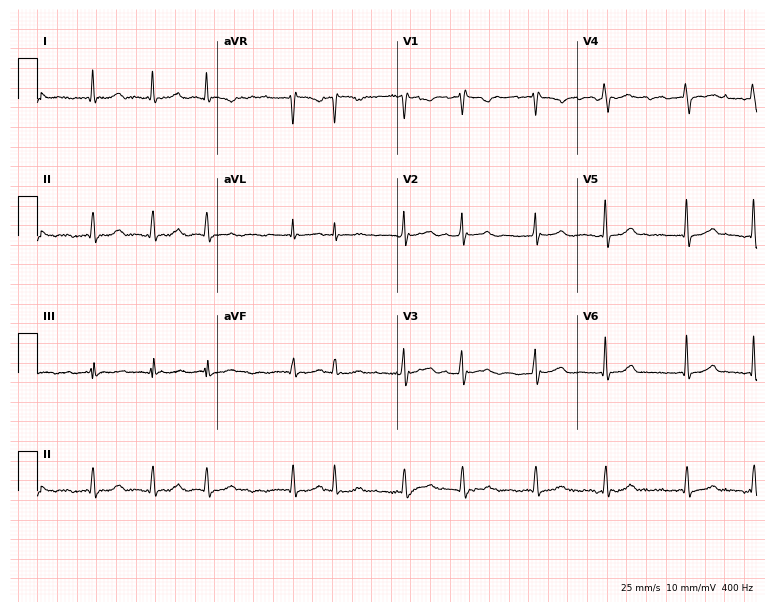
Standard 12-lead ECG recorded from a woman, 69 years old. The tracing shows atrial fibrillation.